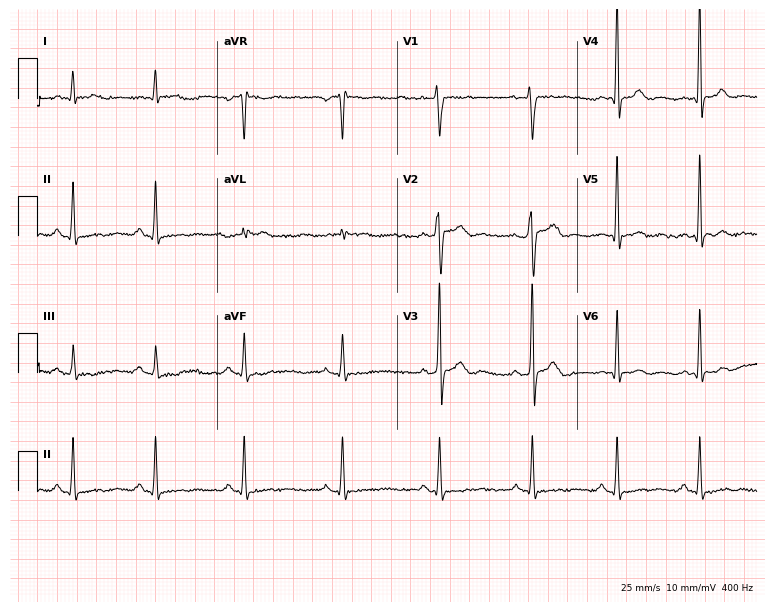
Resting 12-lead electrocardiogram. Patient: a male, 36 years old. Read as a normal ECG.